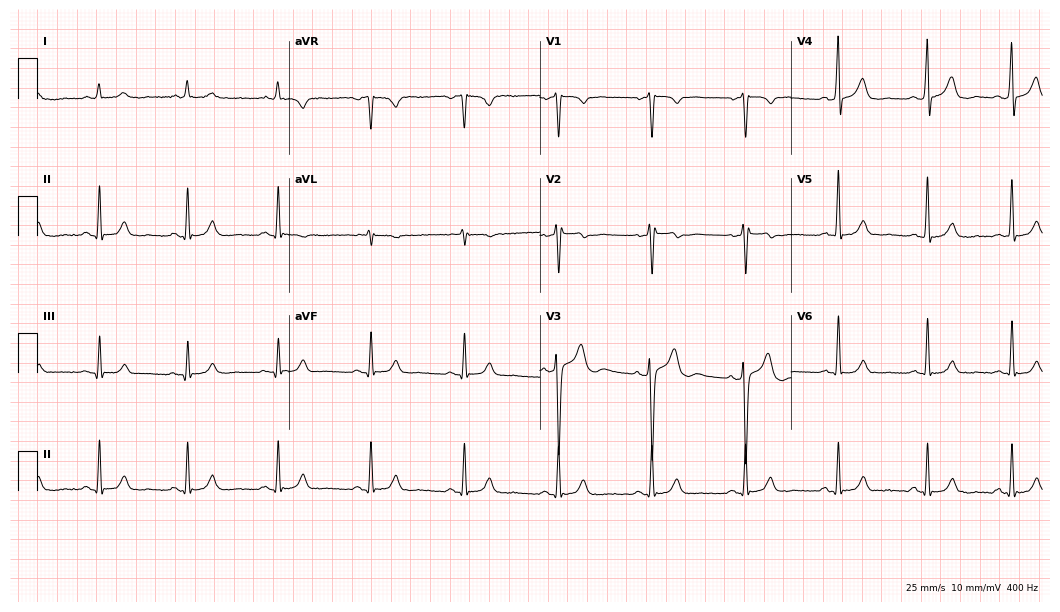
12-lead ECG from a male, 50 years old. Screened for six findings — first-degree AV block, right bundle branch block, left bundle branch block, sinus bradycardia, atrial fibrillation, sinus tachycardia — none is recorded.